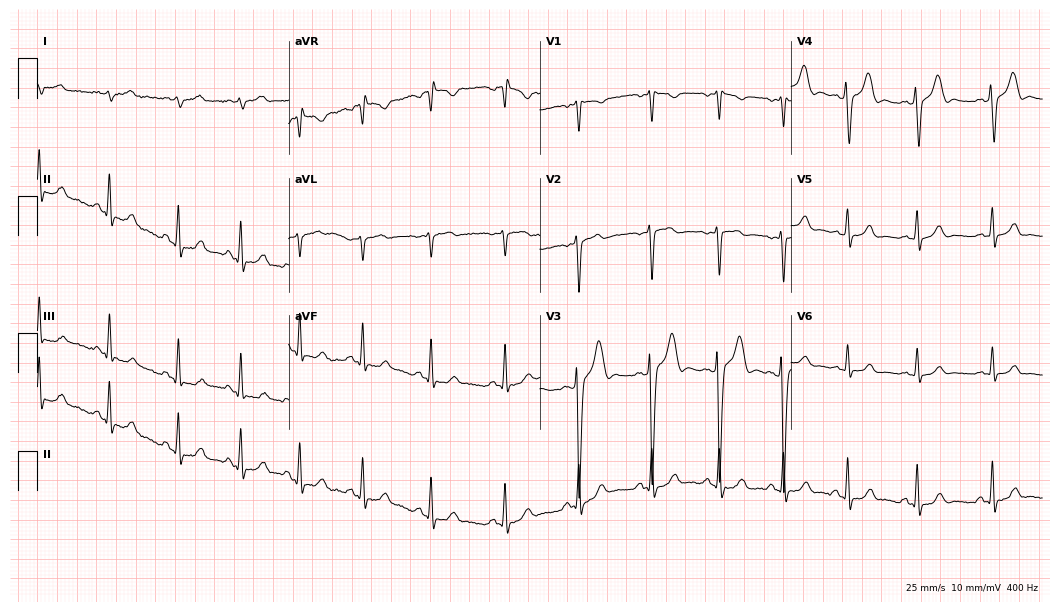
ECG — a man, 31 years old. Screened for six findings — first-degree AV block, right bundle branch block, left bundle branch block, sinus bradycardia, atrial fibrillation, sinus tachycardia — none is recorded. Only these six findings were labelled.